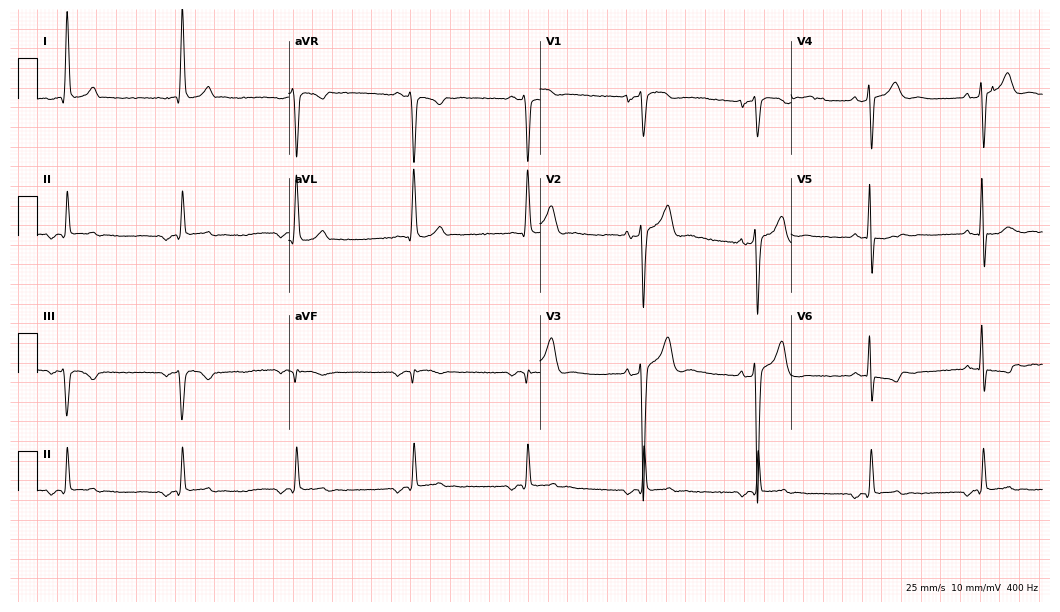
Resting 12-lead electrocardiogram. Patient: a 60-year-old male. None of these six findings is recorded: first-degree AV block, right bundle branch block (RBBB), left bundle branch block (LBBB), sinus bradycardia, atrial fibrillation (AF), sinus tachycardia.